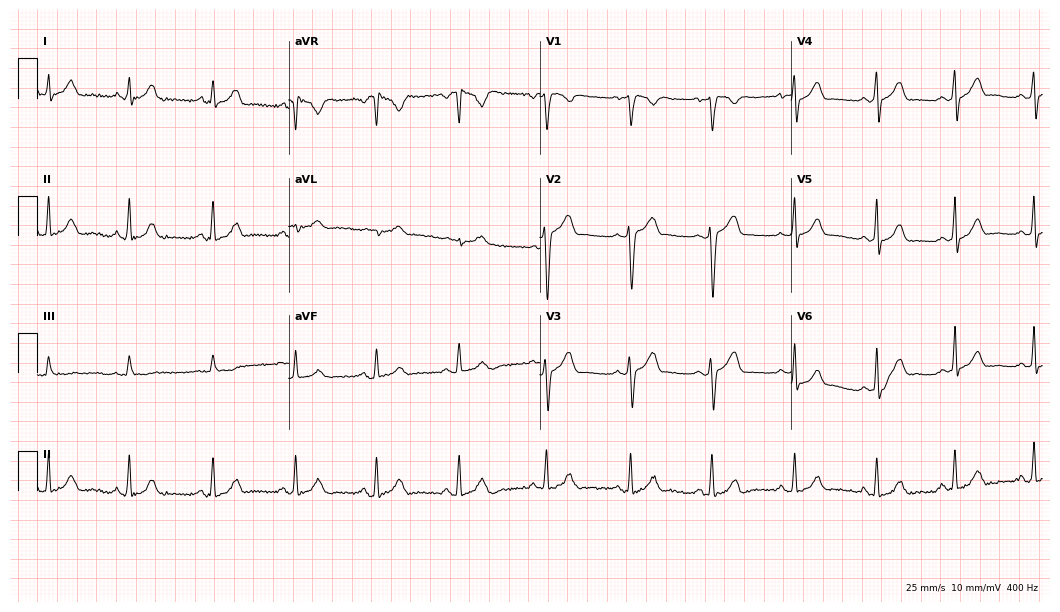
12-lead ECG from a female patient, 48 years old (10.2-second recording at 400 Hz). Recorded interpretation: within normal limits.